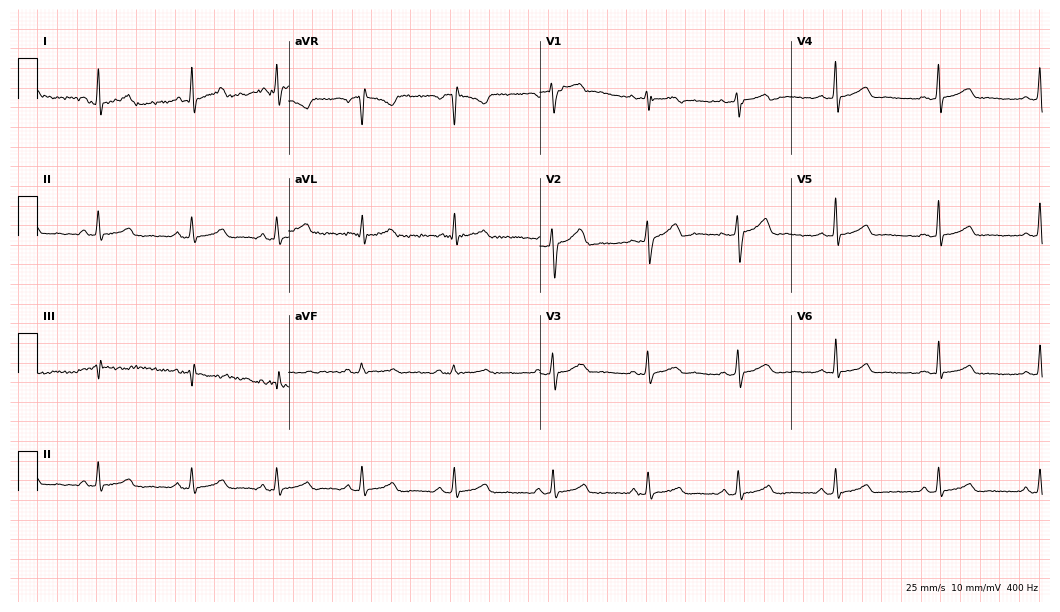
12-lead ECG from a 37-year-old female patient. Labelled as a normal ECG.